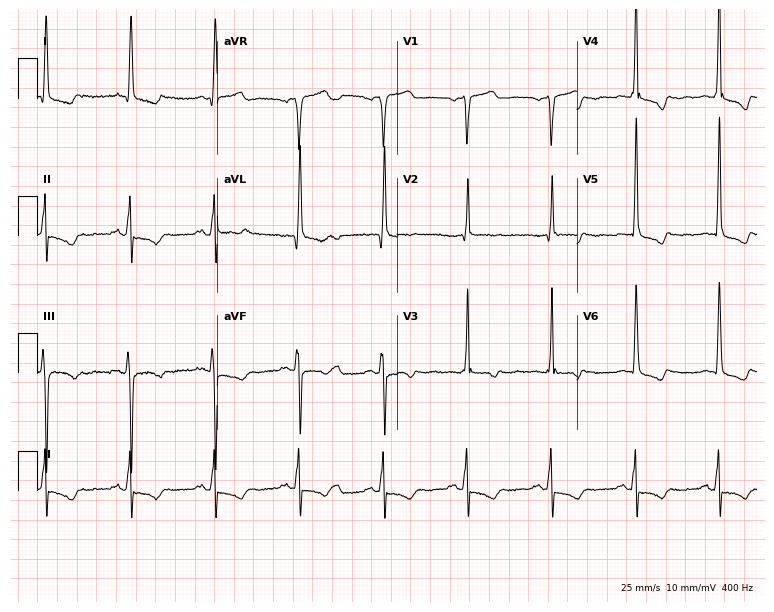
12-lead ECG from a female, 71 years old. No first-degree AV block, right bundle branch block, left bundle branch block, sinus bradycardia, atrial fibrillation or sinus tachycardia recorded for this tracing. Findings outside these six are not listed.